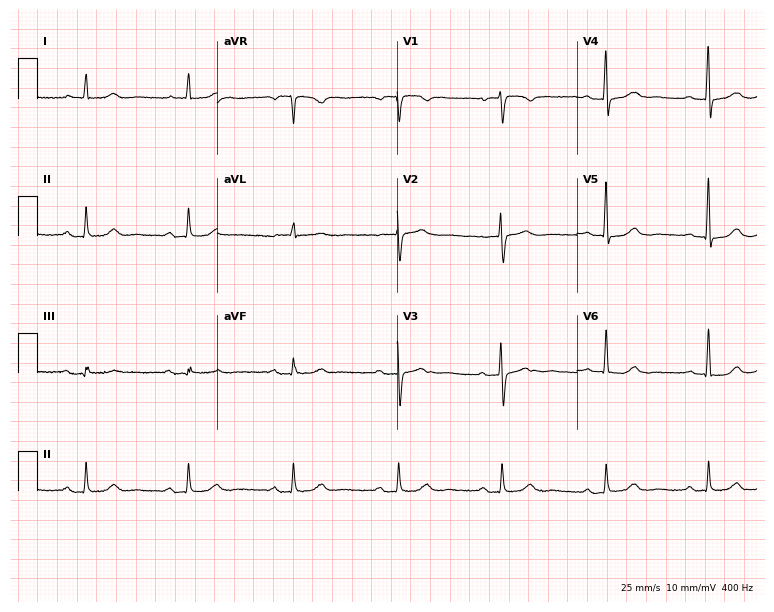
Standard 12-lead ECG recorded from a 65-year-old female patient (7.3-second recording at 400 Hz). Read as a normal ECG.